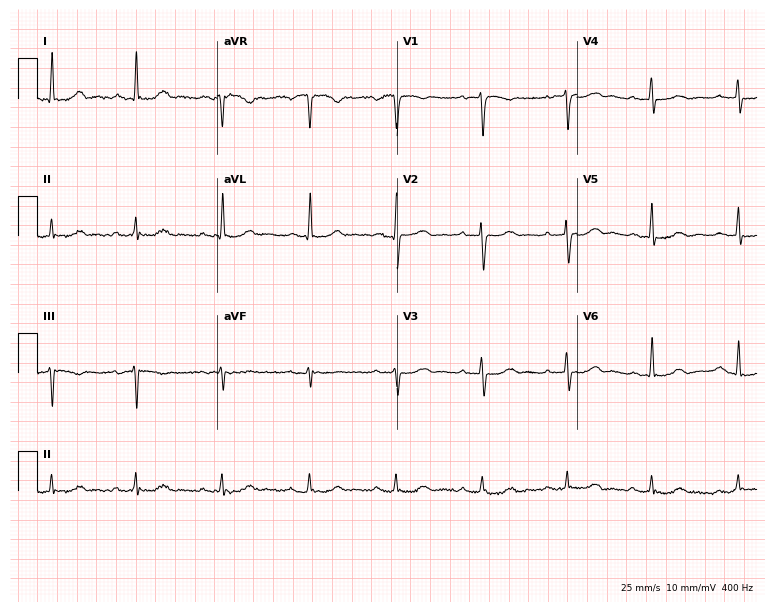
Resting 12-lead electrocardiogram (7.3-second recording at 400 Hz). Patient: a 56-year-old female. Read as a normal ECG.